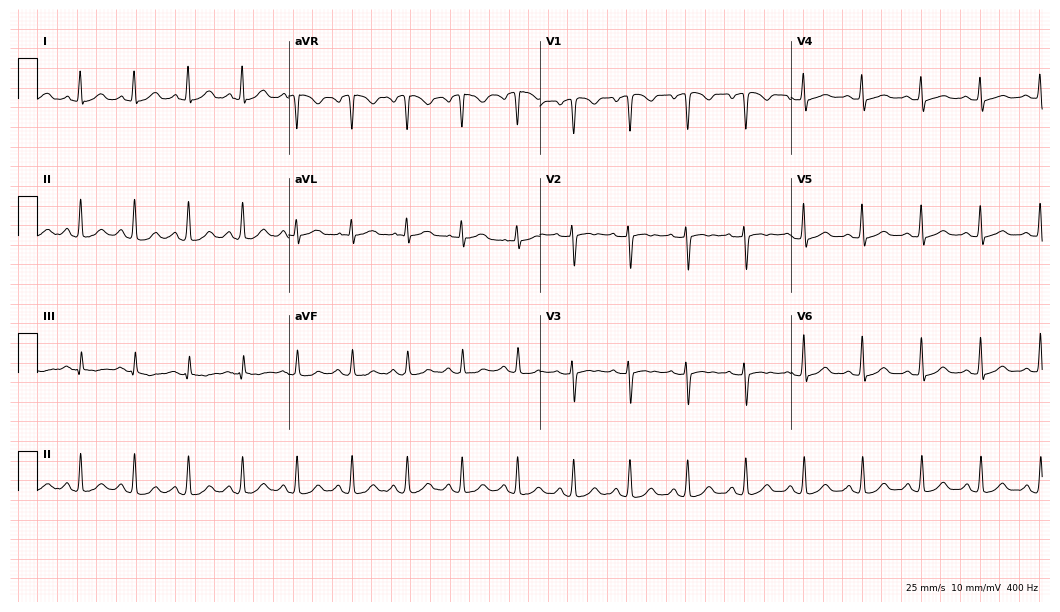
12-lead ECG from a female, 50 years old. Shows sinus tachycardia (a sinus rate of 100 beats per minute or more).